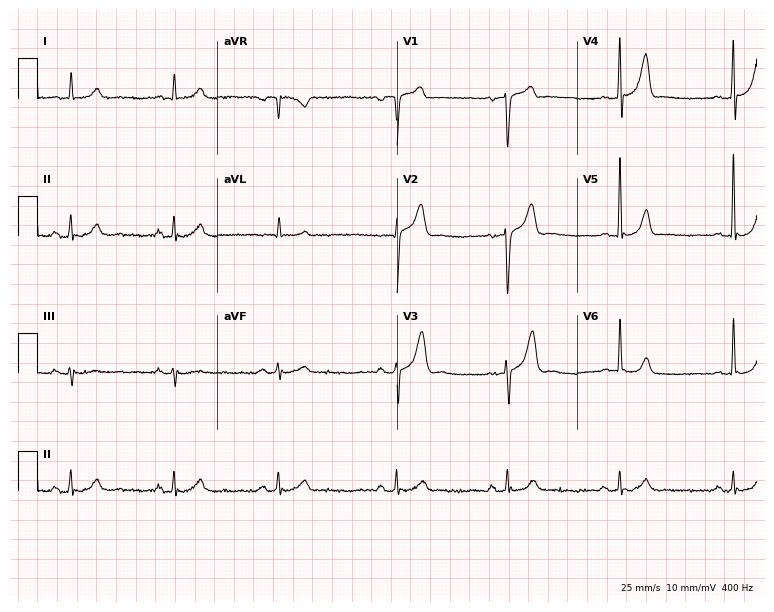
Standard 12-lead ECG recorded from a male patient, 83 years old. None of these six findings is recorded: first-degree AV block, right bundle branch block, left bundle branch block, sinus bradycardia, atrial fibrillation, sinus tachycardia. Findings outside these six are not listed.